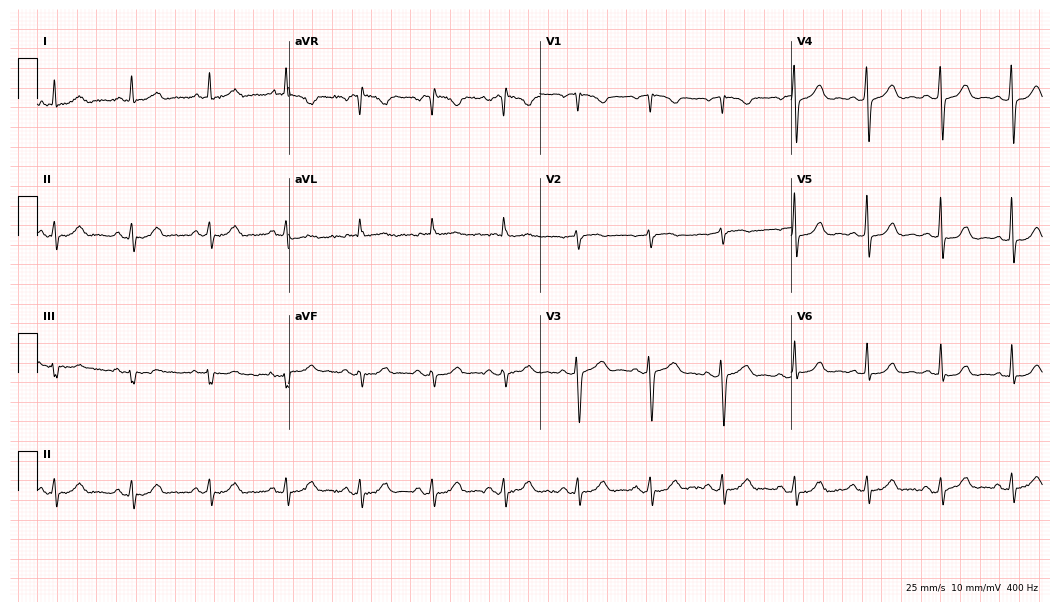
Standard 12-lead ECG recorded from a 49-year-old woman. None of these six findings is recorded: first-degree AV block, right bundle branch block, left bundle branch block, sinus bradycardia, atrial fibrillation, sinus tachycardia.